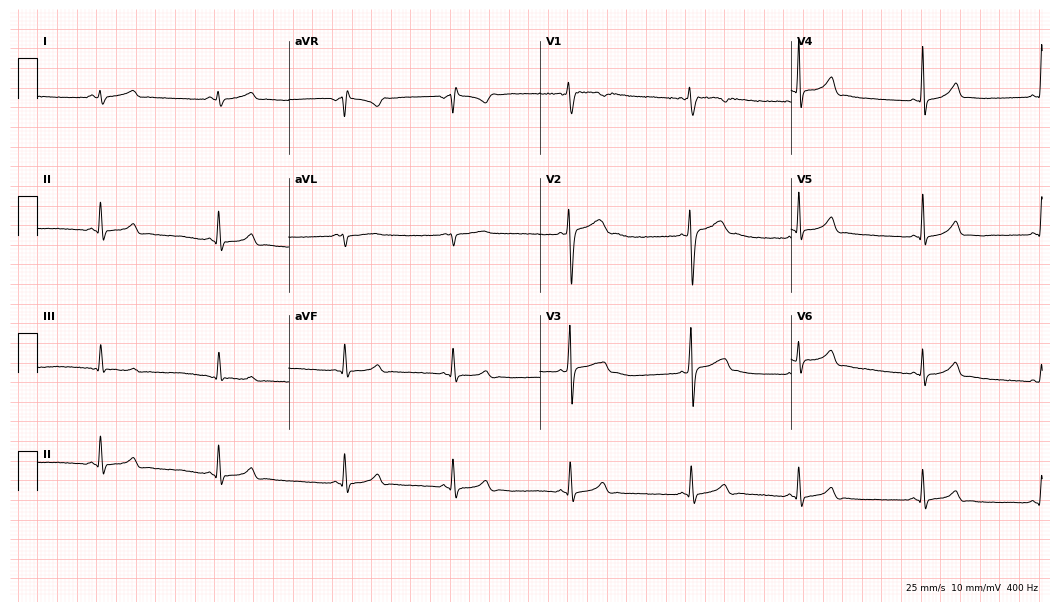
Electrocardiogram, a woman, 17 years old. Of the six screened findings (first-degree AV block, right bundle branch block, left bundle branch block, sinus bradycardia, atrial fibrillation, sinus tachycardia), none is recorded. Findings outside these six are not listed.